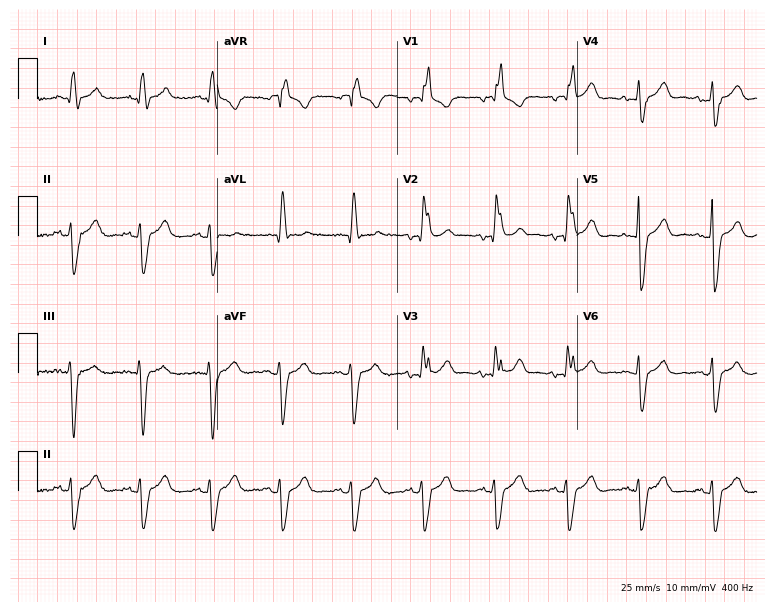
Electrocardiogram, an 82-year-old male. Of the six screened findings (first-degree AV block, right bundle branch block, left bundle branch block, sinus bradycardia, atrial fibrillation, sinus tachycardia), none is recorded.